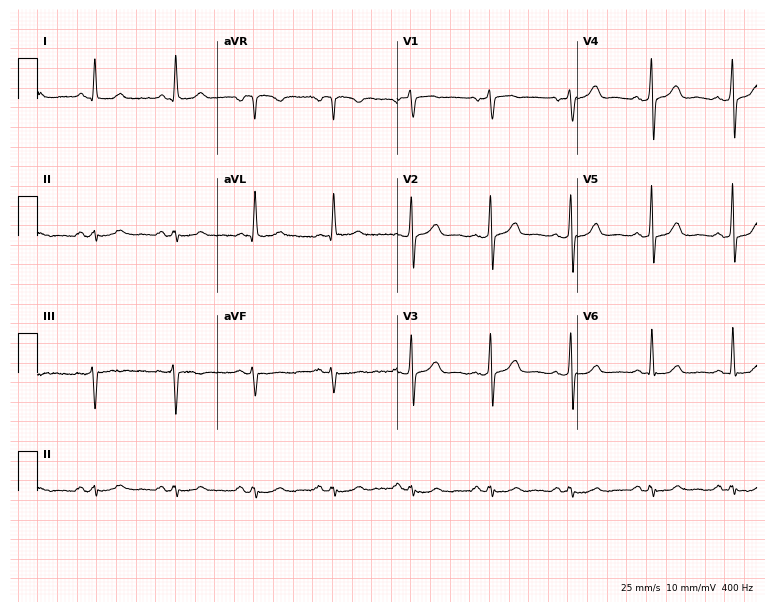
12-lead ECG from a 77-year-old man. No first-degree AV block, right bundle branch block (RBBB), left bundle branch block (LBBB), sinus bradycardia, atrial fibrillation (AF) or sinus tachycardia recorded for this tracing.